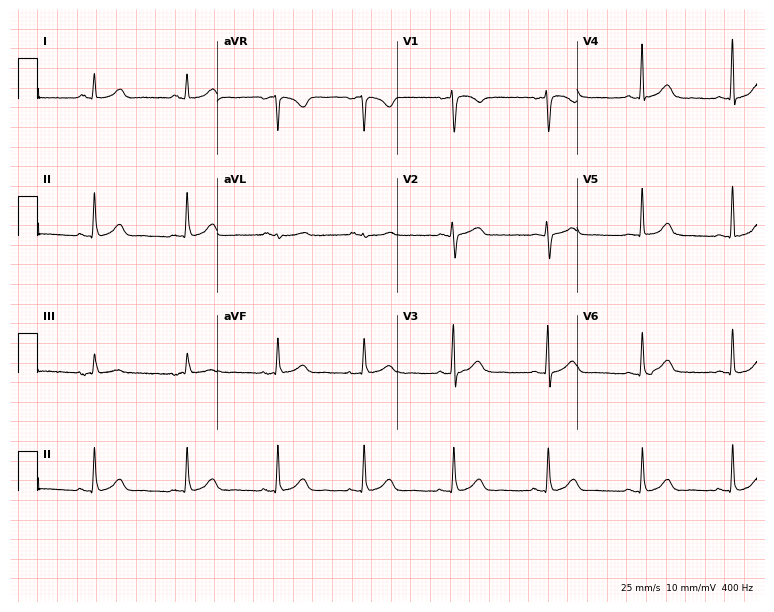
Standard 12-lead ECG recorded from a 48-year-old woman. Read as a normal ECG.